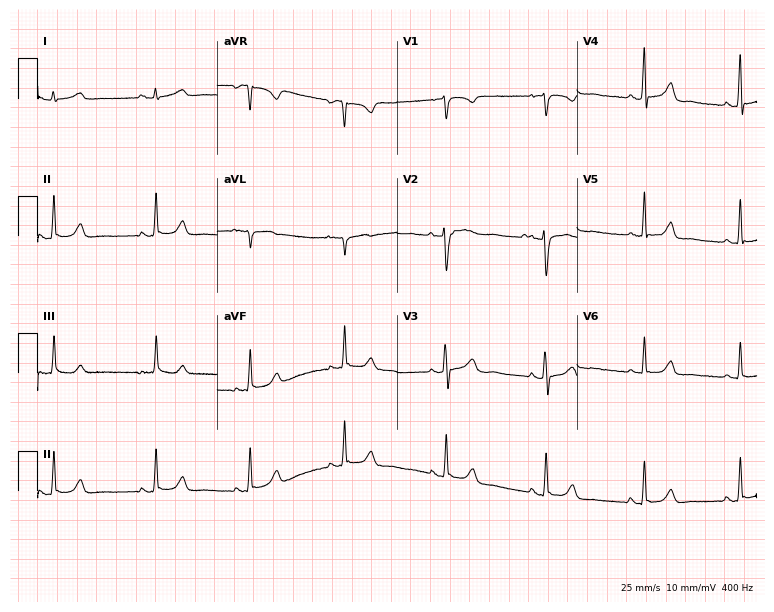
ECG — a female, 27 years old. Labelled as a normal ECG.